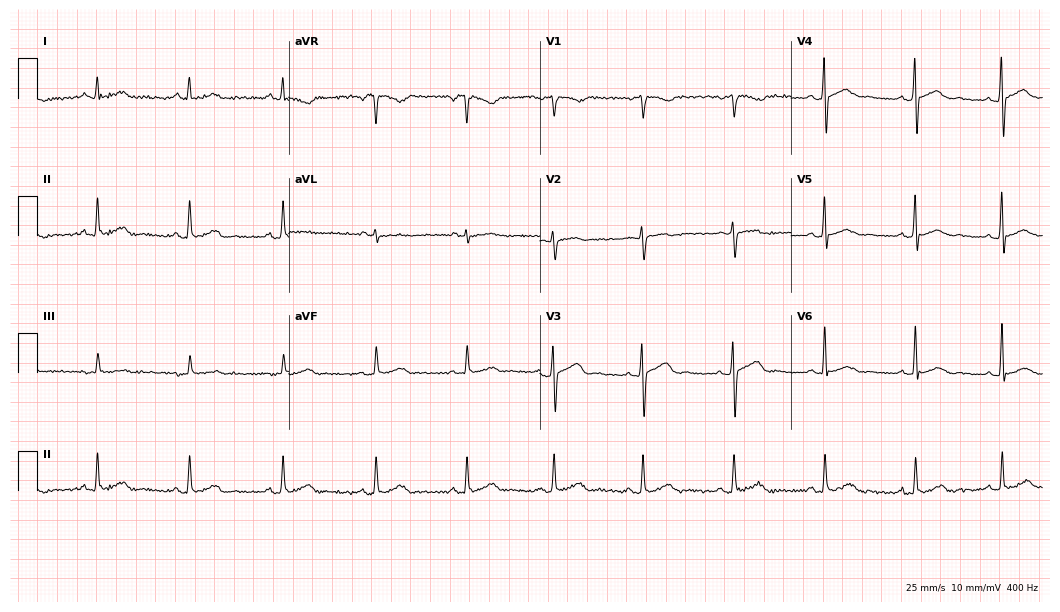
ECG — a woman, 31 years old. Labelled as a normal ECG.